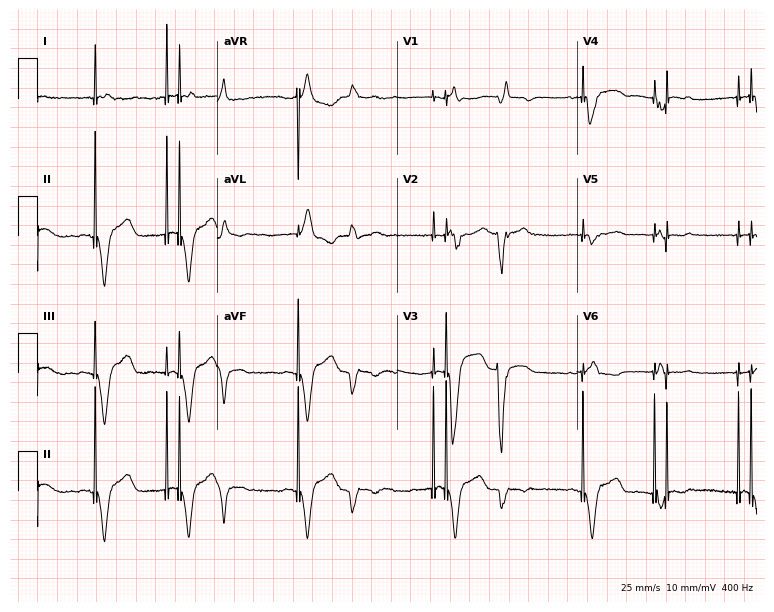
Resting 12-lead electrocardiogram. Patient: a male, 39 years old. None of these six findings is recorded: first-degree AV block, right bundle branch block, left bundle branch block, sinus bradycardia, atrial fibrillation, sinus tachycardia.